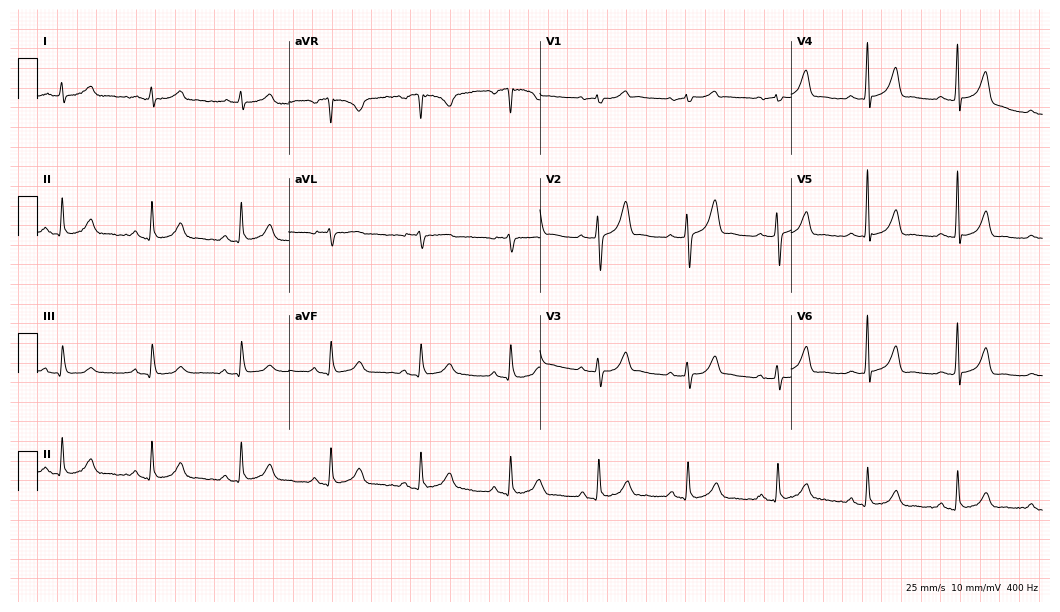
Resting 12-lead electrocardiogram (10.2-second recording at 400 Hz). Patient: a 60-year-old male. Read as a normal ECG.